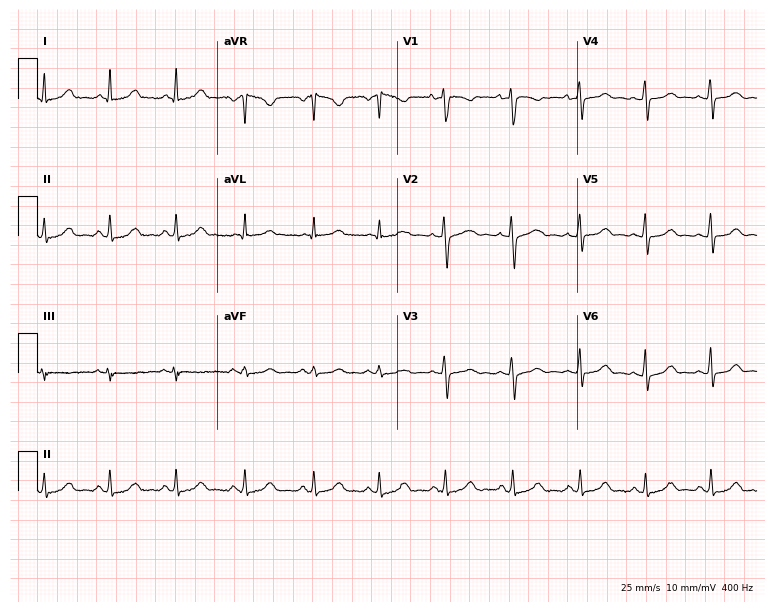
ECG (7.3-second recording at 400 Hz) — a 31-year-old female. Labelled as a normal ECG.